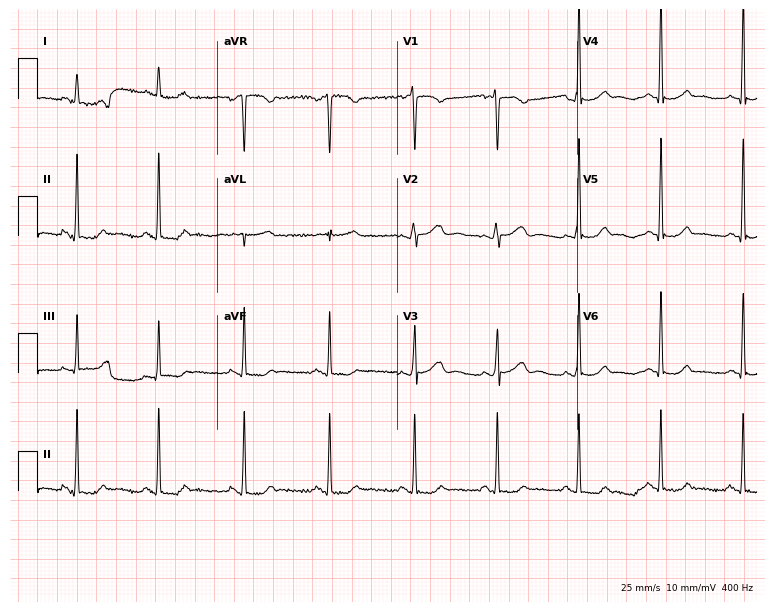
ECG — a 48-year-old female. Screened for six findings — first-degree AV block, right bundle branch block, left bundle branch block, sinus bradycardia, atrial fibrillation, sinus tachycardia — none is recorded. Only these six findings were labelled.